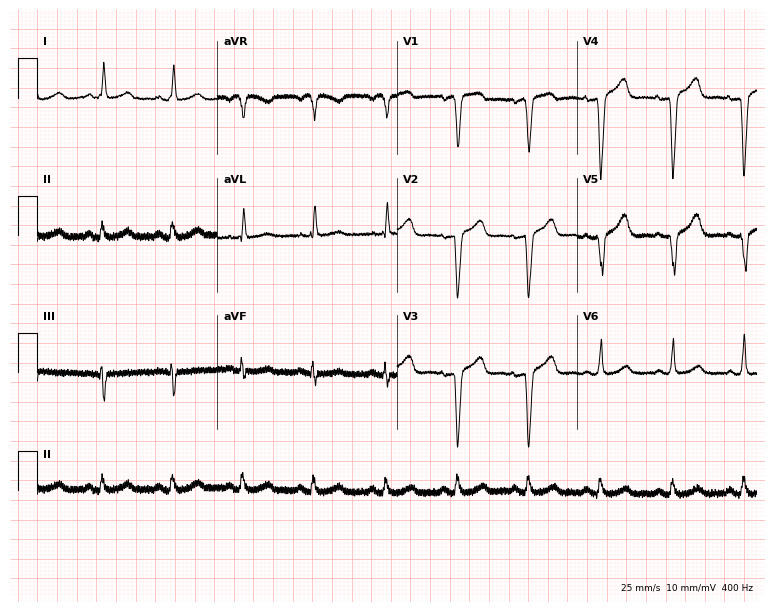
Standard 12-lead ECG recorded from a 59-year-old woman. None of these six findings is recorded: first-degree AV block, right bundle branch block, left bundle branch block, sinus bradycardia, atrial fibrillation, sinus tachycardia. Findings outside these six are not listed.